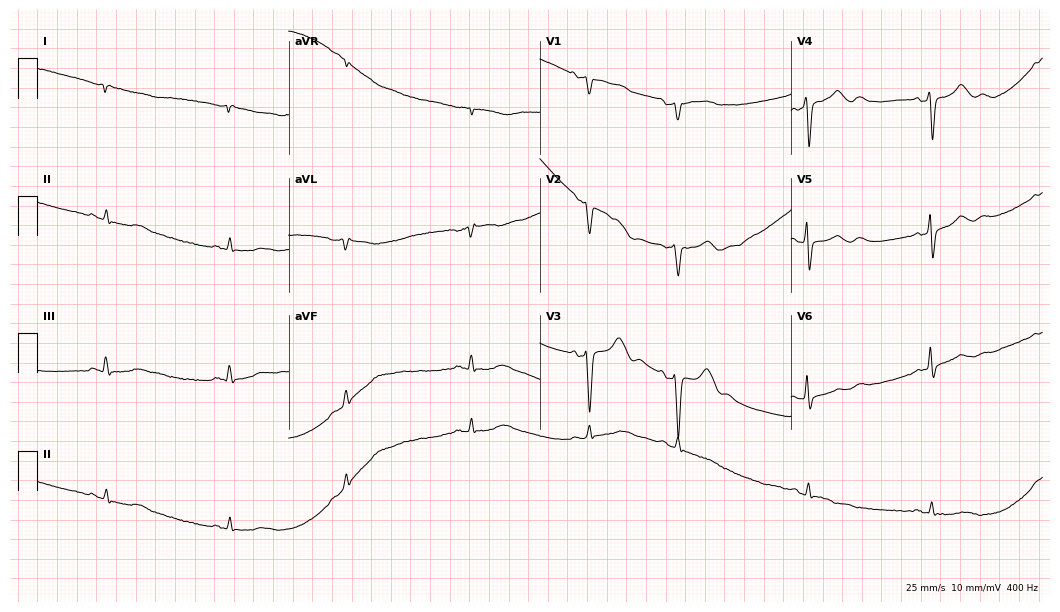
Standard 12-lead ECG recorded from a 73-year-old woman. None of these six findings is recorded: first-degree AV block, right bundle branch block, left bundle branch block, sinus bradycardia, atrial fibrillation, sinus tachycardia.